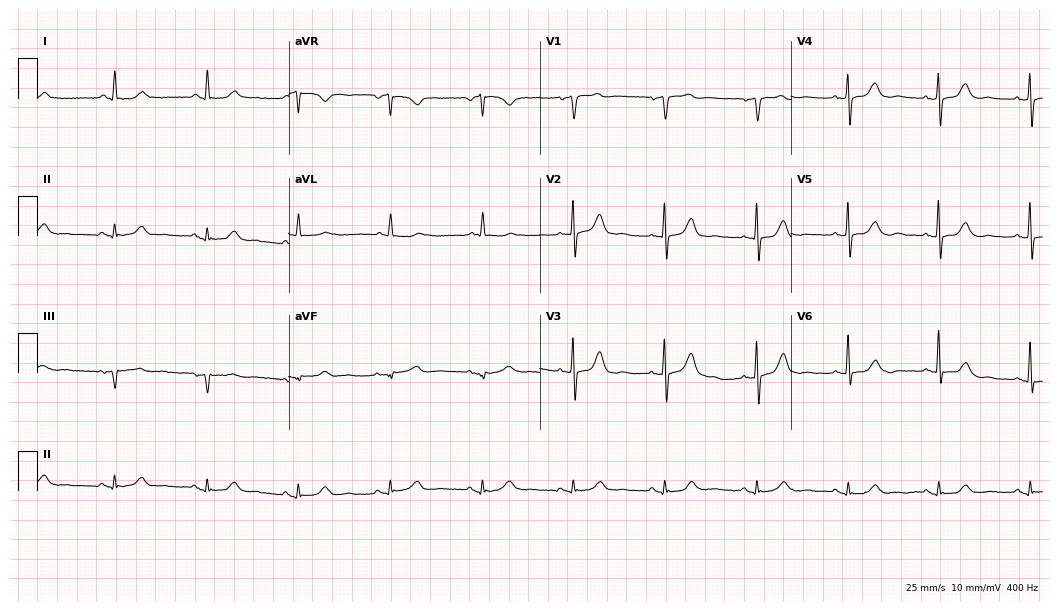
Resting 12-lead electrocardiogram (10.2-second recording at 400 Hz). Patient: a 79-year-old woman. Read as a normal ECG.